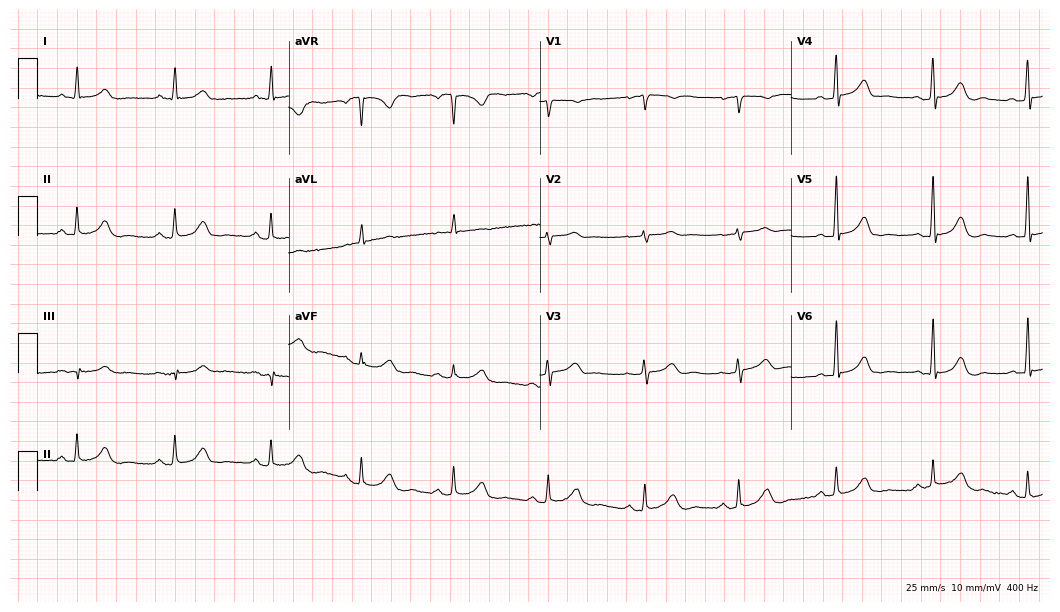
Electrocardiogram, a woman, 71 years old. Of the six screened findings (first-degree AV block, right bundle branch block, left bundle branch block, sinus bradycardia, atrial fibrillation, sinus tachycardia), none is recorded. Only these six findings were labelled.